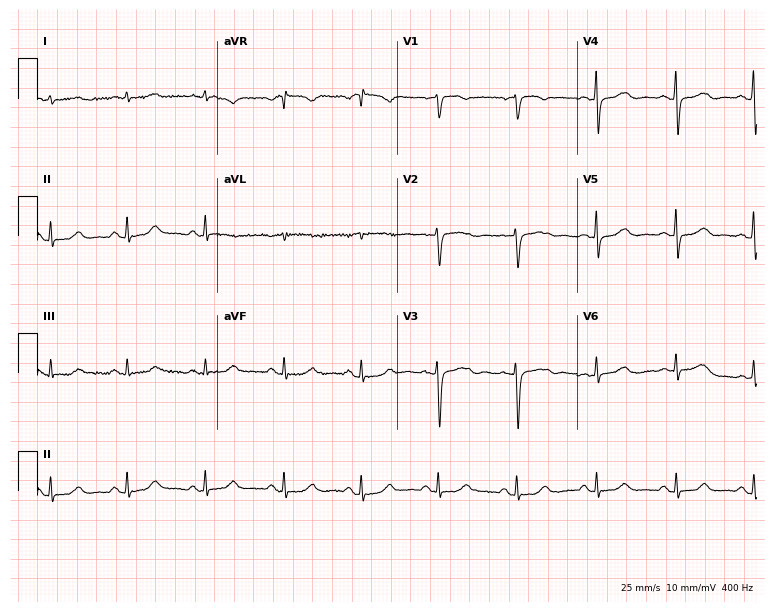
12-lead ECG from a female, 59 years old. Recorded interpretation: within normal limits.